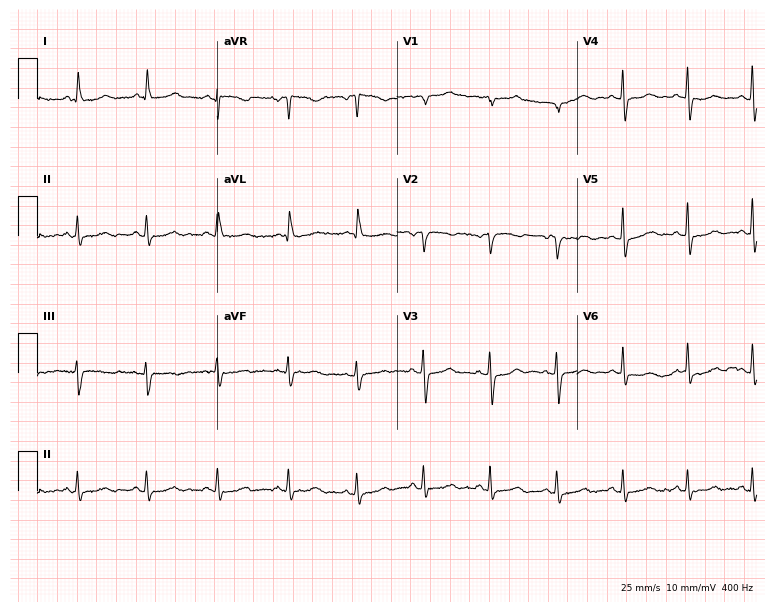
Electrocardiogram (7.3-second recording at 400 Hz), a female, 63 years old. Of the six screened findings (first-degree AV block, right bundle branch block (RBBB), left bundle branch block (LBBB), sinus bradycardia, atrial fibrillation (AF), sinus tachycardia), none is recorded. Findings outside these six are not listed.